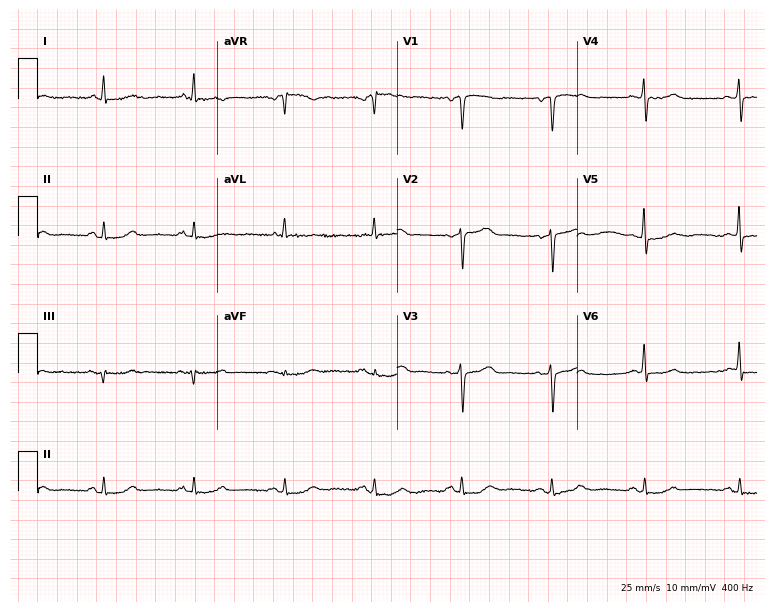
Resting 12-lead electrocardiogram. Patient: a female, 60 years old. None of these six findings is recorded: first-degree AV block, right bundle branch block, left bundle branch block, sinus bradycardia, atrial fibrillation, sinus tachycardia. Findings outside these six are not listed.